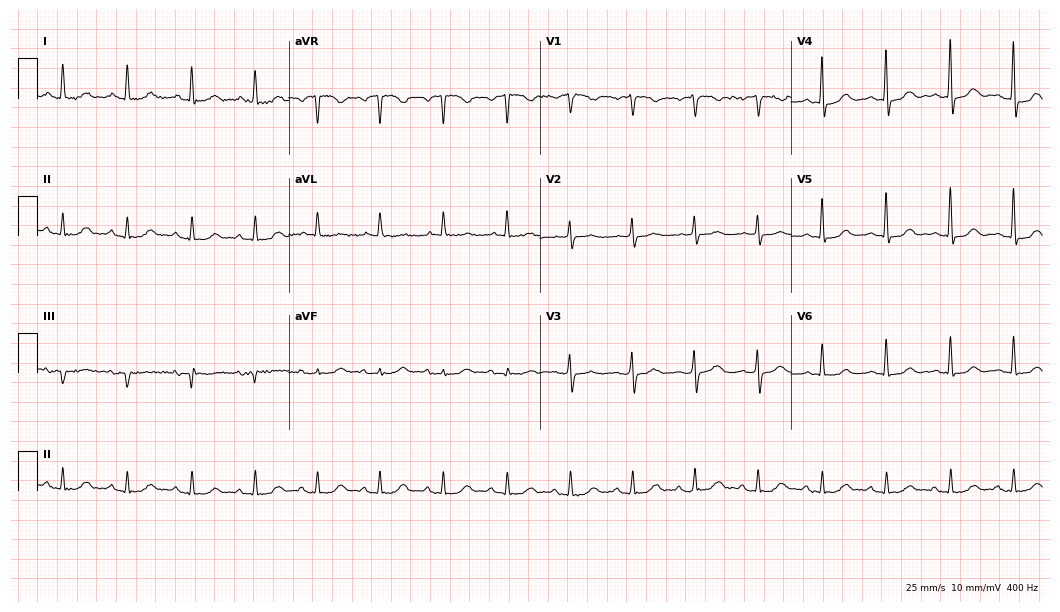
ECG (10.2-second recording at 400 Hz) — an 80-year-old female patient. Labelled as a normal ECG.